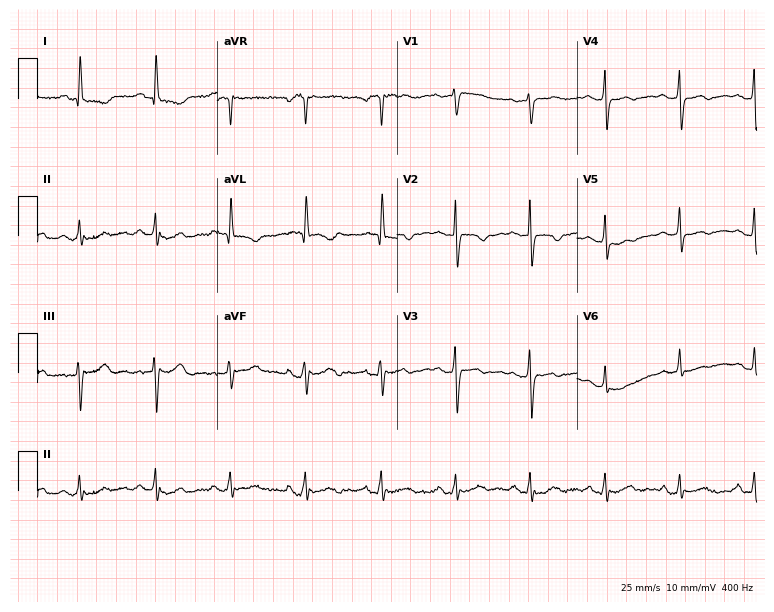
Resting 12-lead electrocardiogram (7.3-second recording at 400 Hz). Patient: a 78-year-old woman. None of these six findings is recorded: first-degree AV block, right bundle branch block, left bundle branch block, sinus bradycardia, atrial fibrillation, sinus tachycardia. Other findings, if any, are not listed.